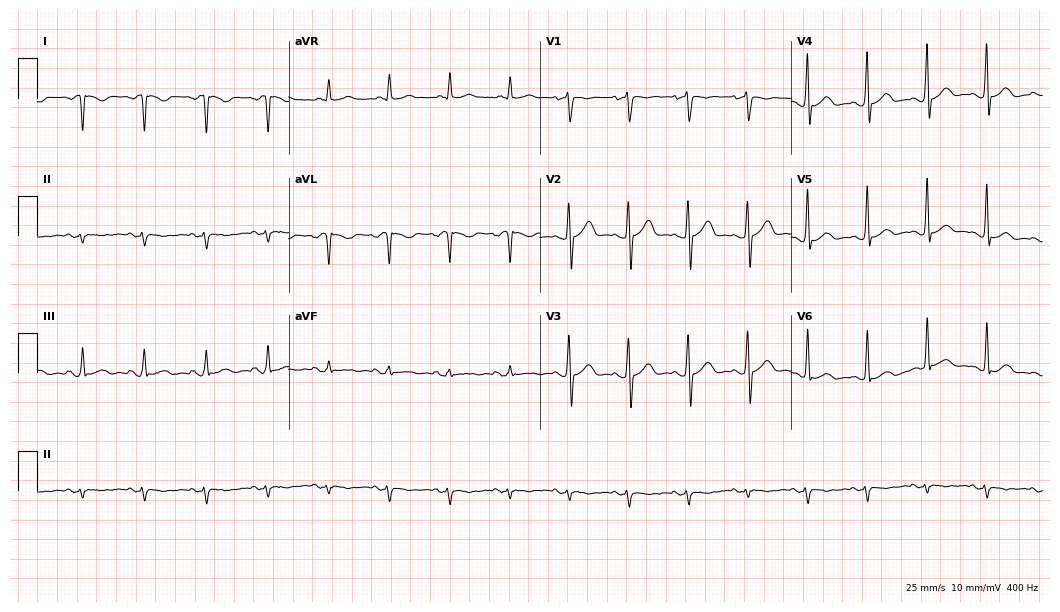
Resting 12-lead electrocardiogram (10.2-second recording at 400 Hz). Patient: a 51-year-old male. None of these six findings is recorded: first-degree AV block, right bundle branch block, left bundle branch block, sinus bradycardia, atrial fibrillation, sinus tachycardia.